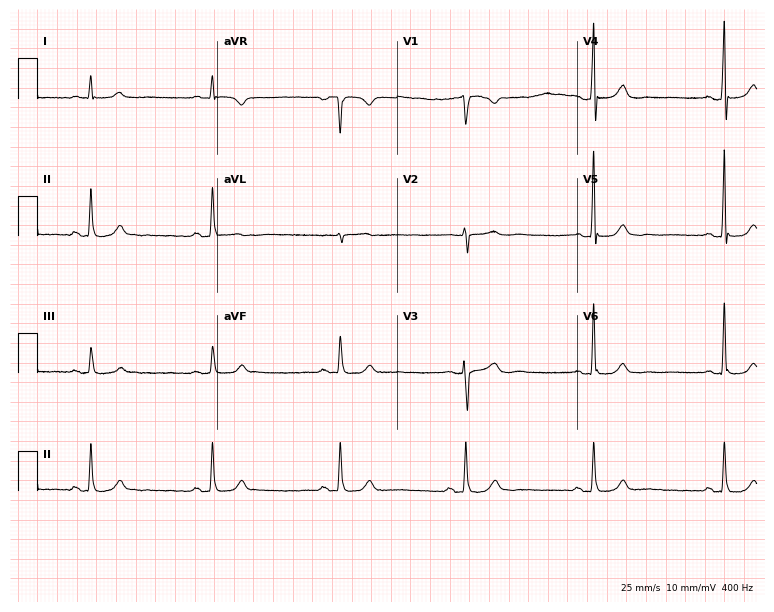
ECG — a 63-year-old male. Findings include sinus bradycardia (a sinus rate of 50 beats per minute or less).